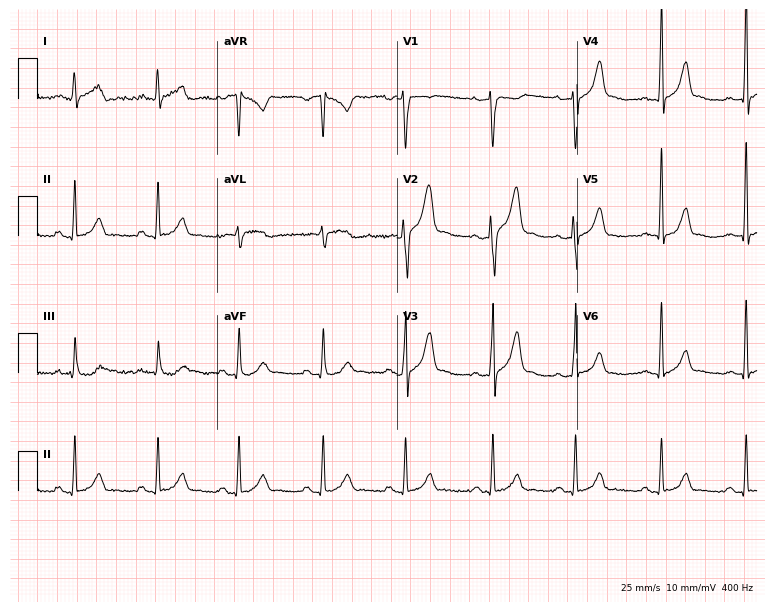
12-lead ECG from a 30-year-old male. No first-degree AV block, right bundle branch block (RBBB), left bundle branch block (LBBB), sinus bradycardia, atrial fibrillation (AF) or sinus tachycardia recorded for this tracing. Only these six findings were labelled.